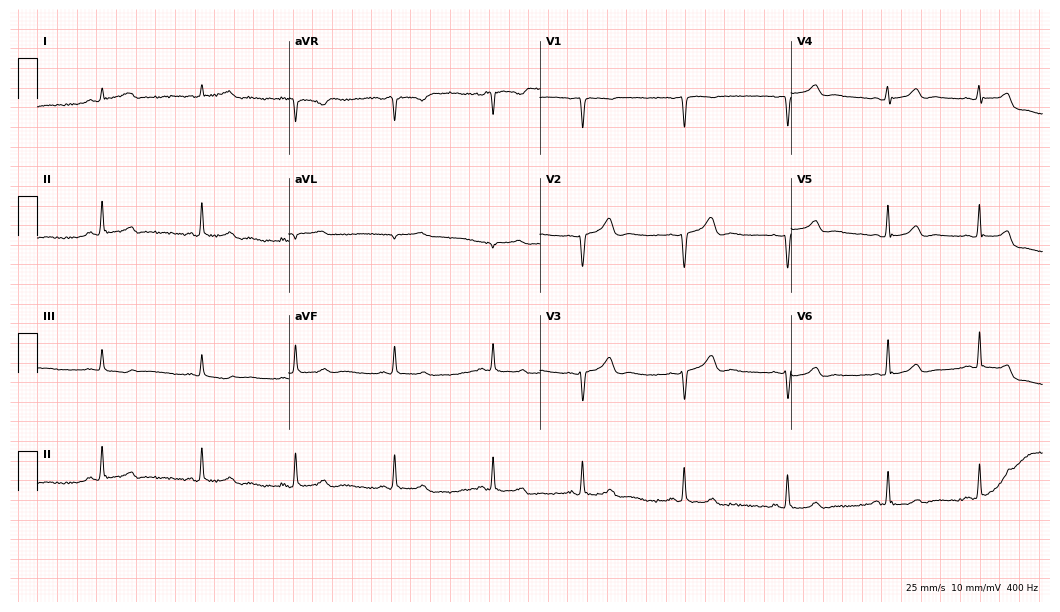
Electrocardiogram (10.2-second recording at 400 Hz), a 21-year-old female patient. Overall reading on record: normal ECG.